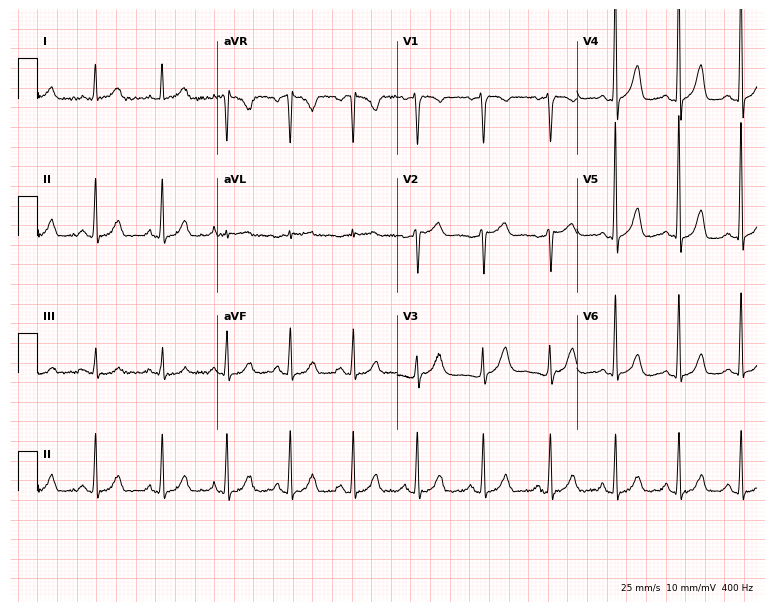
Resting 12-lead electrocardiogram. Patient: a 62-year-old female. Read as a normal ECG.